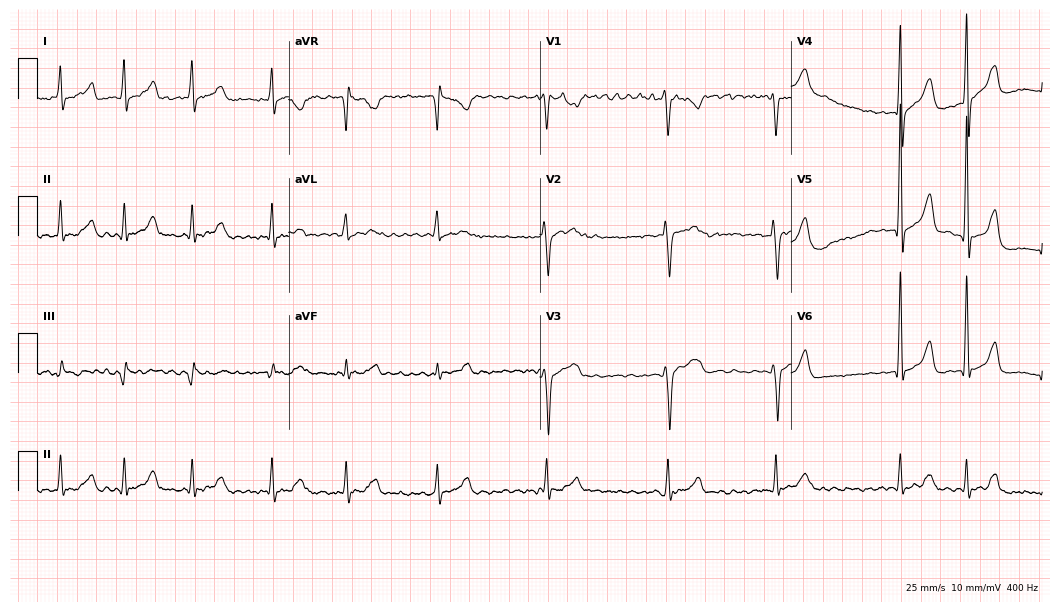
Electrocardiogram (10.2-second recording at 400 Hz), a man, 33 years old. Interpretation includes atrial fibrillation.